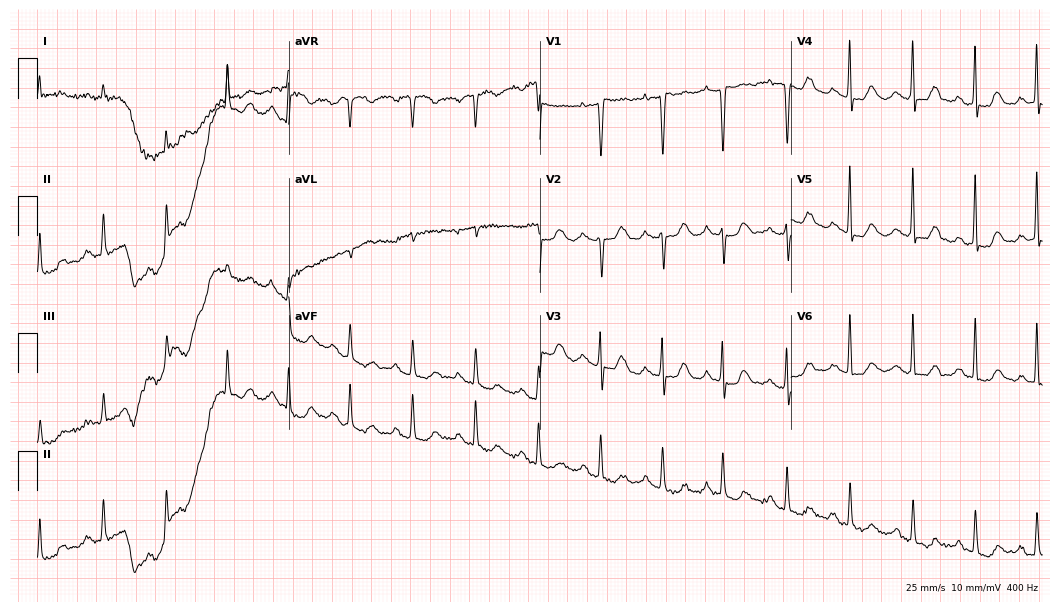
Electrocardiogram, an 84-year-old woman. Of the six screened findings (first-degree AV block, right bundle branch block (RBBB), left bundle branch block (LBBB), sinus bradycardia, atrial fibrillation (AF), sinus tachycardia), none is recorded.